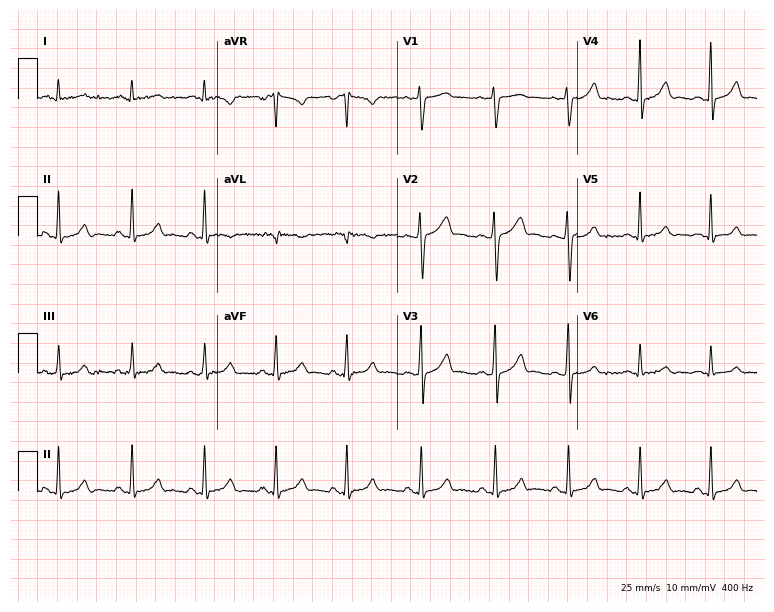
12-lead ECG from a female patient, 25 years old. No first-degree AV block, right bundle branch block (RBBB), left bundle branch block (LBBB), sinus bradycardia, atrial fibrillation (AF) or sinus tachycardia recorded for this tracing. Other findings, if any, are not listed.